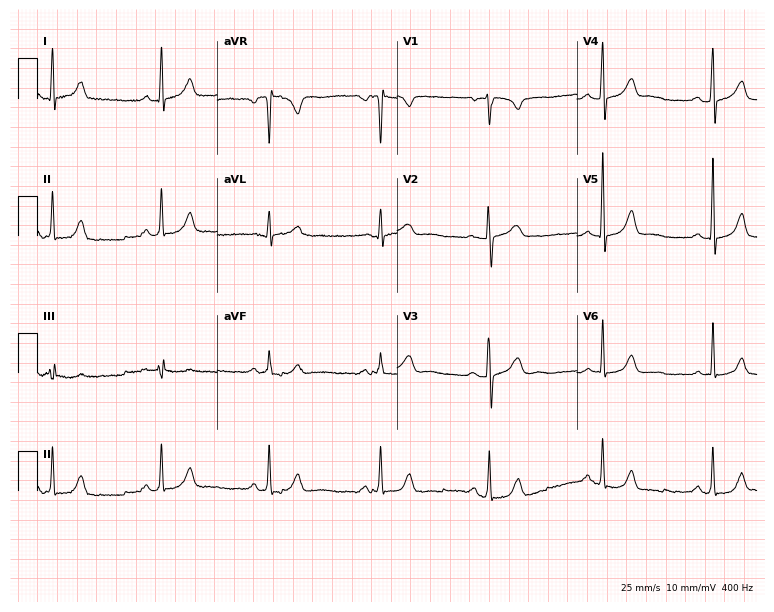
Electrocardiogram, a female, 38 years old. Of the six screened findings (first-degree AV block, right bundle branch block (RBBB), left bundle branch block (LBBB), sinus bradycardia, atrial fibrillation (AF), sinus tachycardia), none is recorded. Only these six findings were labelled.